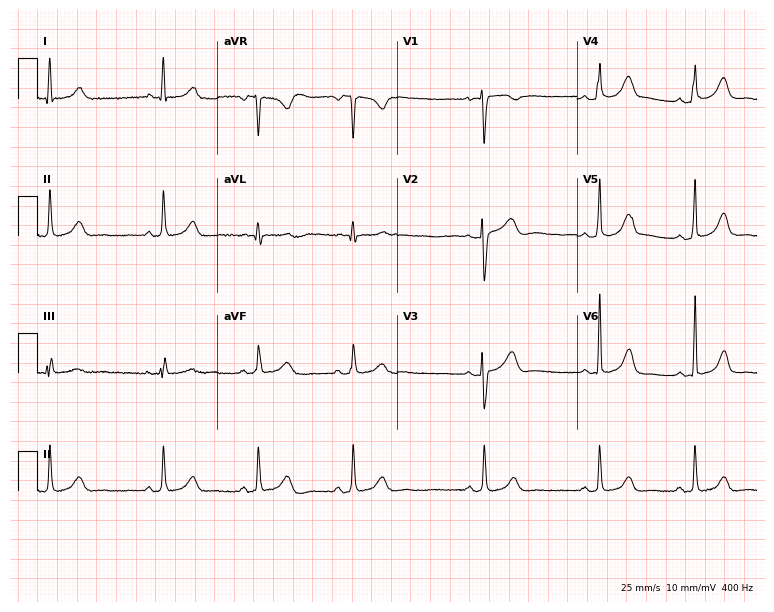
ECG — a 24-year-old female. Screened for six findings — first-degree AV block, right bundle branch block, left bundle branch block, sinus bradycardia, atrial fibrillation, sinus tachycardia — none is recorded. Other findings, if any, are not listed.